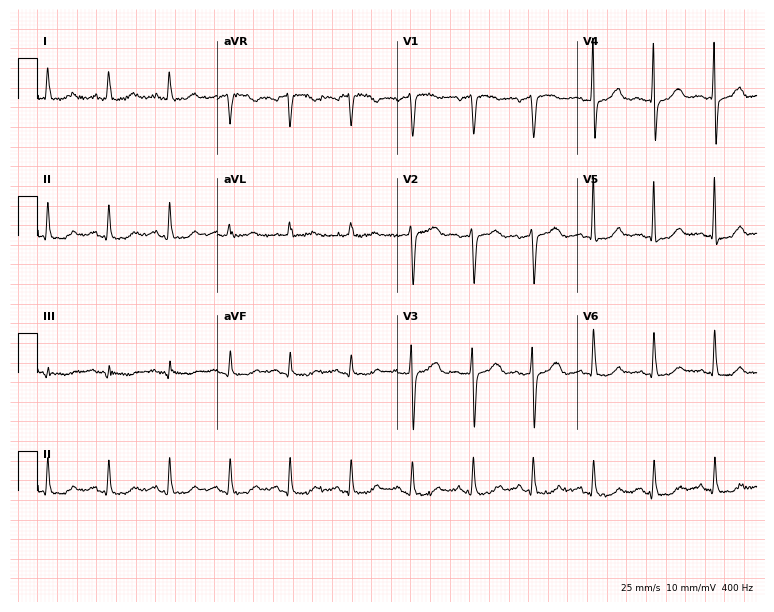
12-lead ECG (7.3-second recording at 400 Hz) from a man, 79 years old. Screened for six findings — first-degree AV block, right bundle branch block, left bundle branch block, sinus bradycardia, atrial fibrillation, sinus tachycardia — none is recorded.